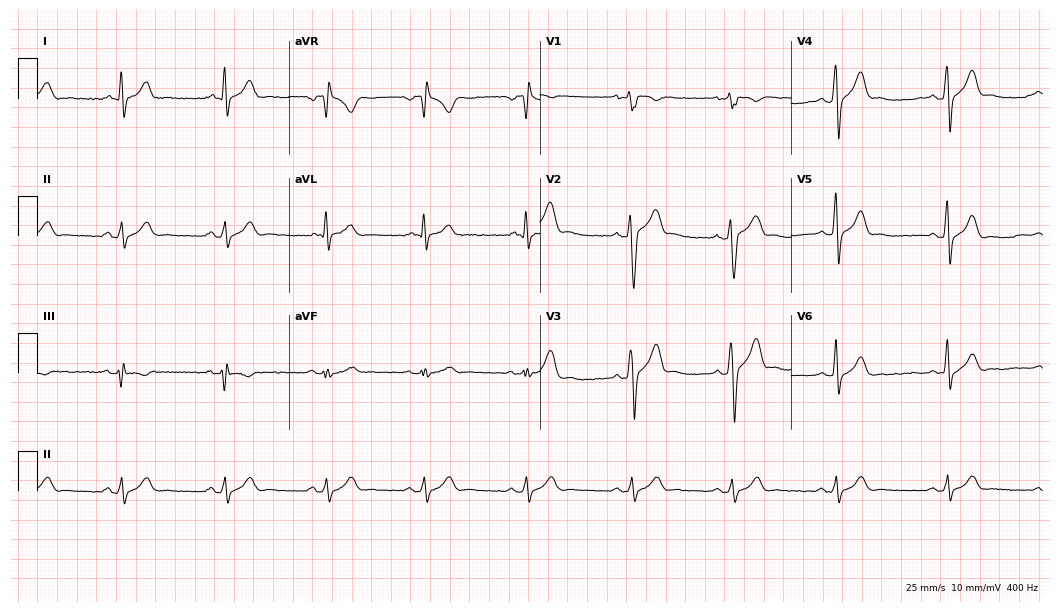
12-lead ECG from a male, 24 years old. Recorded interpretation: within normal limits.